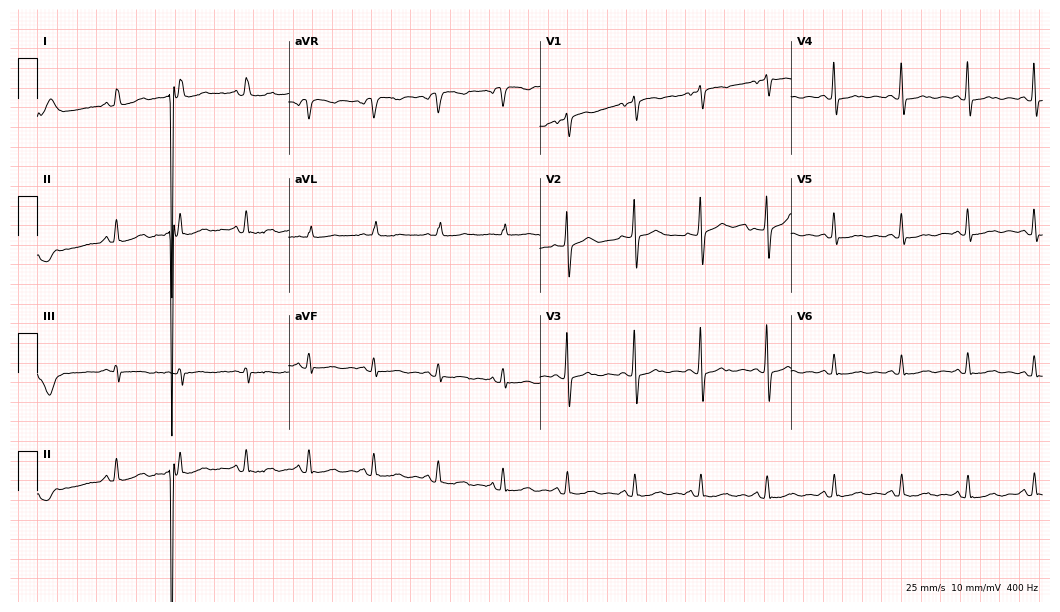
12-lead ECG from a man, 77 years old (10.2-second recording at 400 Hz). No first-degree AV block, right bundle branch block, left bundle branch block, sinus bradycardia, atrial fibrillation or sinus tachycardia recorded for this tracing.